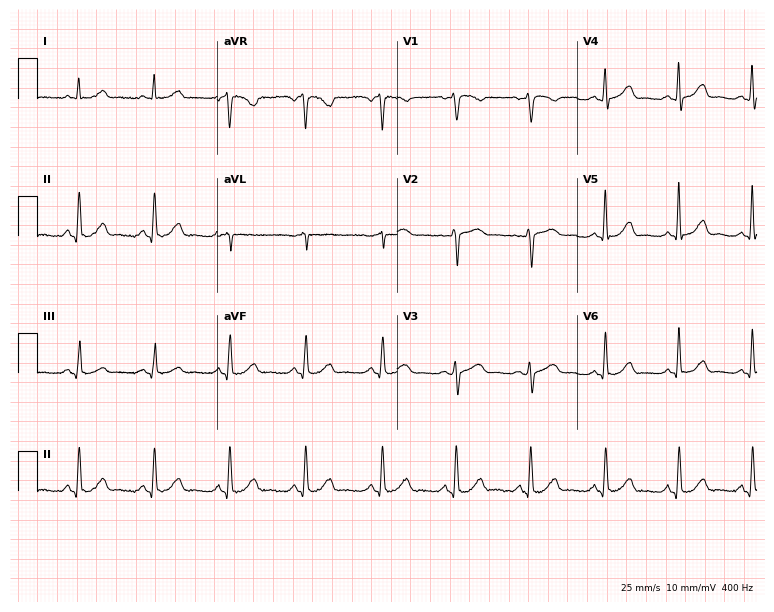
12-lead ECG from a woman, 57 years old. Labelled as a normal ECG.